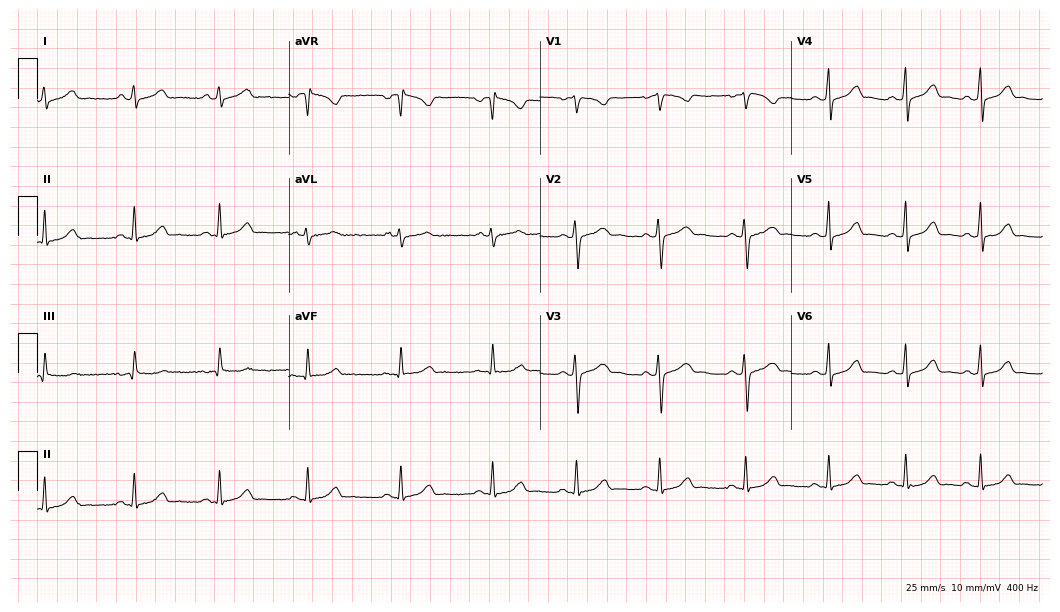
12-lead ECG from an 18-year-old female. Labelled as a normal ECG.